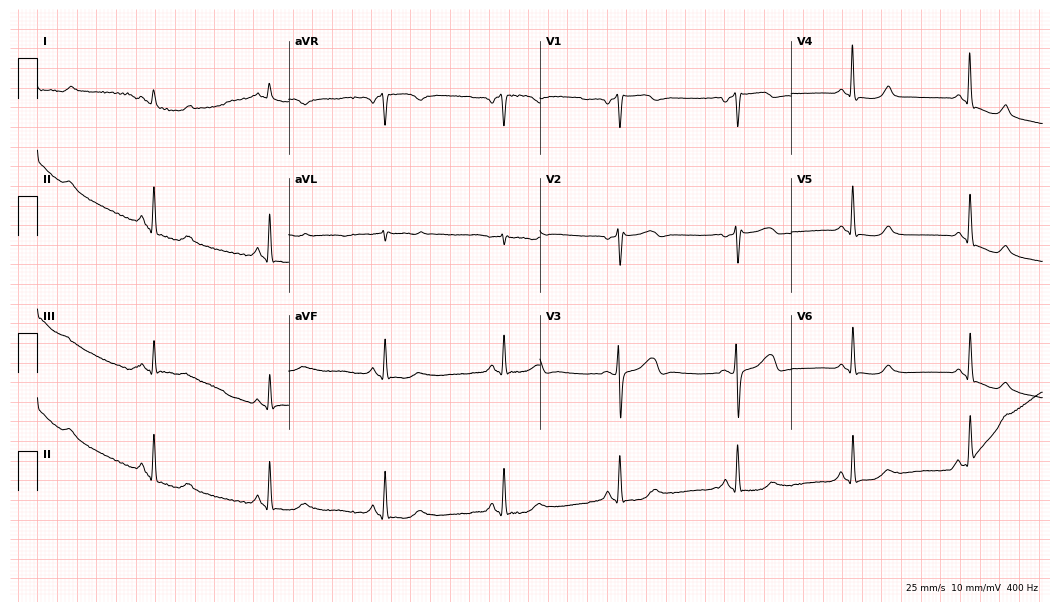
12-lead ECG from a 72-year-old female patient (10.2-second recording at 400 Hz). No first-degree AV block, right bundle branch block (RBBB), left bundle branch block (LBBB), sinus bradycardia, atrial fibrillation (AF) or sinus tachycardia recorded for this tracing. Findings outside these six are not listed.